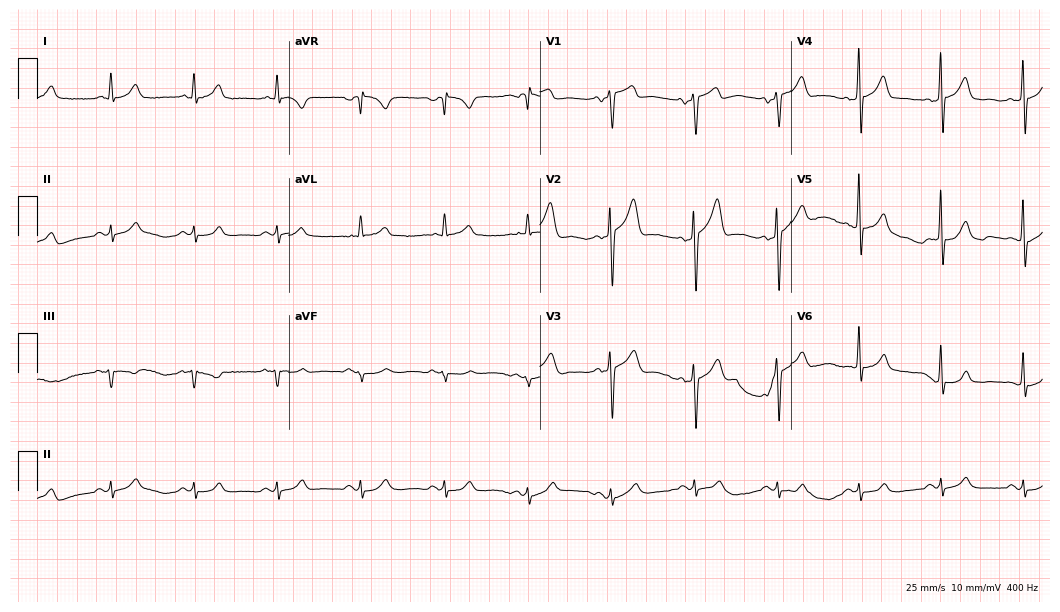
ECG (10.2-second recording at 400 Hz) — a 51-year-old man. Labelled as a normal ECG.